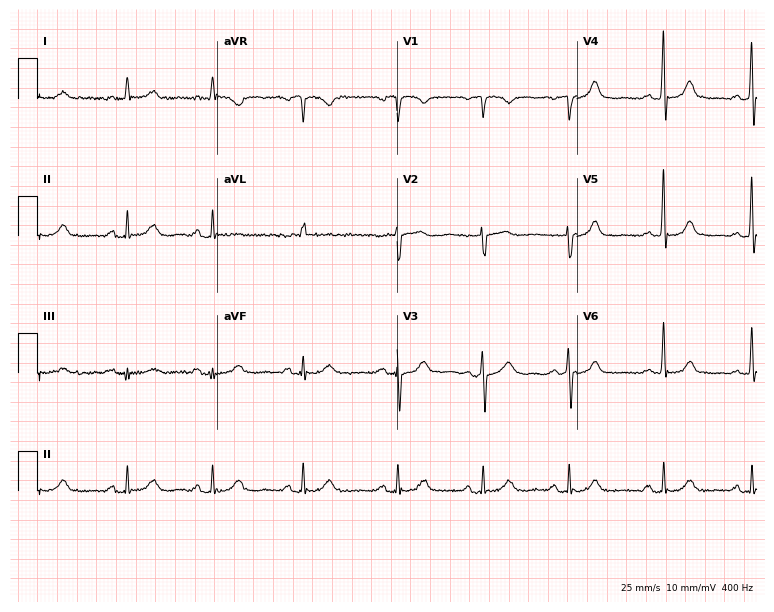
Standard 12-lead ECG recorded from a woman, 62 years old. Read as a normal ECG.